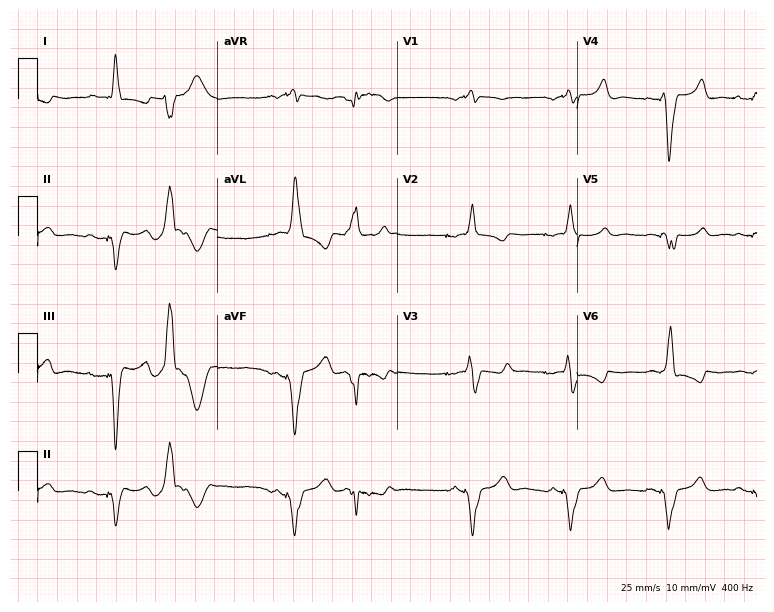
ECG (7.3-second recording at 400 Hz) — a female, 63 years old. Screened for six findings — first-degree AV block, right bundle branch block (RBBB), left bundle branch block (LBBB), sinus bradycardia, atrial fibrillation (AF), sinus tachycardia — none is recorded.